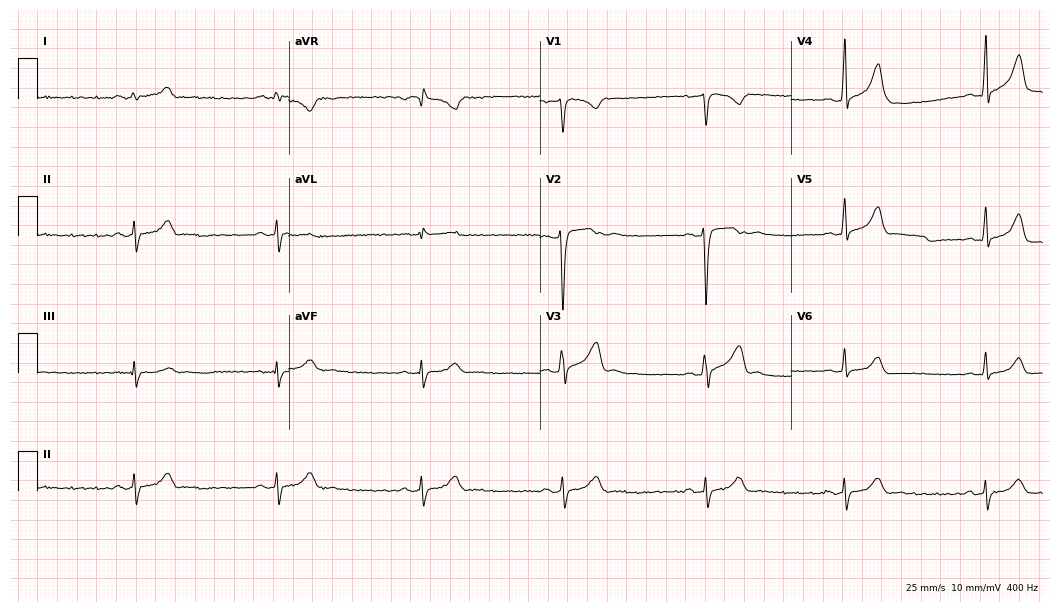
Resting 12-lead electrocardiogram (10.2-second recording at 400 Hz). Patient: a 23-year-old male. The tracing shows sinus bradycardia (a sinus rate of 50 beats per minute or less).